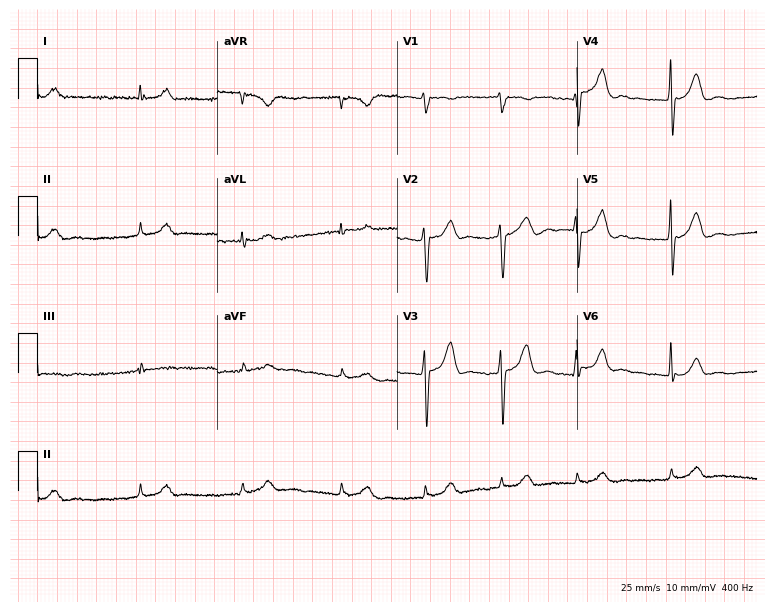
12-lead ECG from a 76-year-old male patient. Findings include atrial fibrillation.